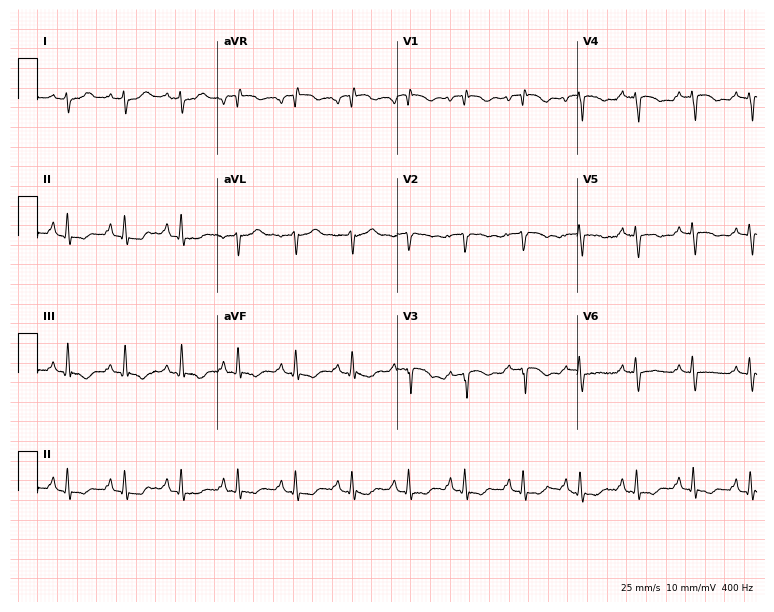
12-lead ECG (7.3-second recording at 400 Hz) from a female patient, 62 years old. Findings include sinus tachycardia (a sinus rate of 100 beats per minute or more).